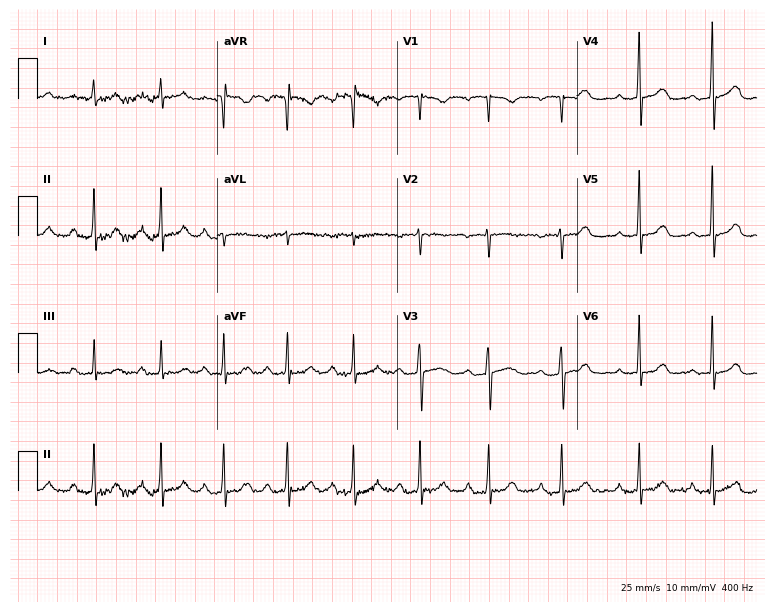
Electrocardiogram, a female, 32 years old. Interpretation includes first-degree AV block.